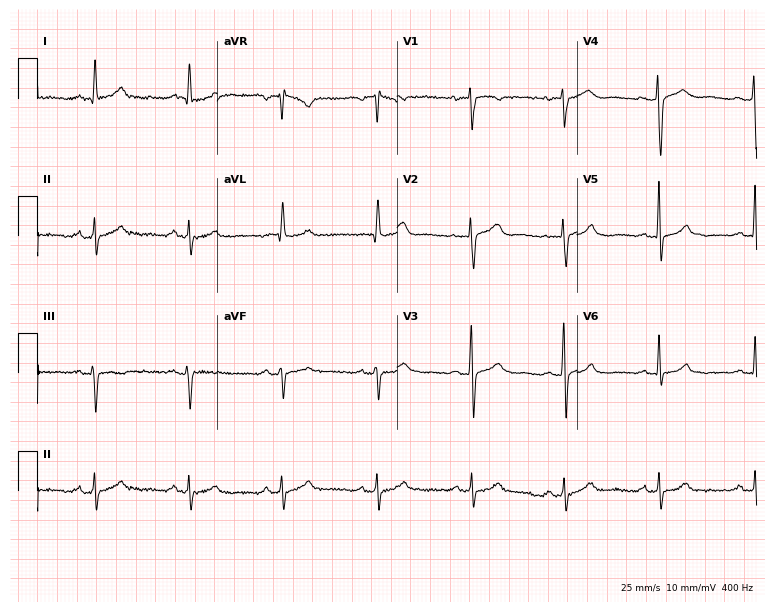
12-lead ECG from a female, 59 years old. Labelled as a normal ECG.